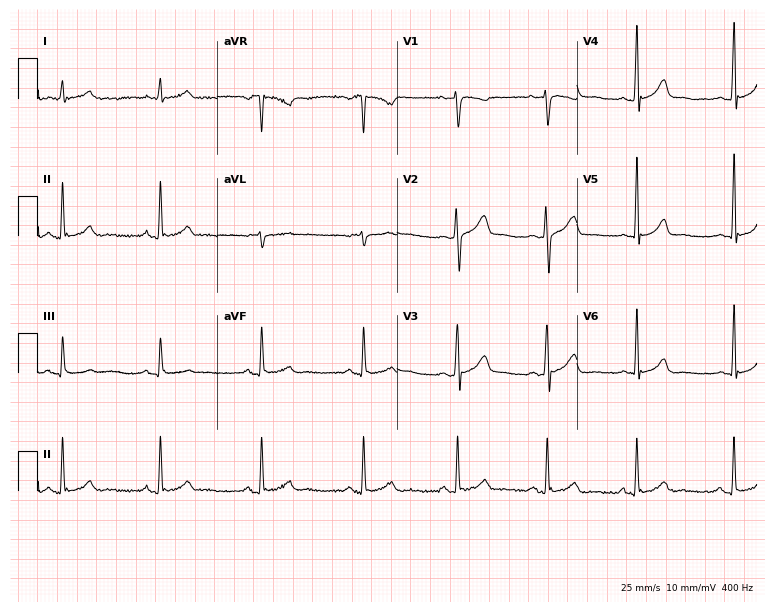
Standard 12-lead ECG recorded from a male, 39 years old (7.3-second recording at 400 Hz). Read as a normal ECG.